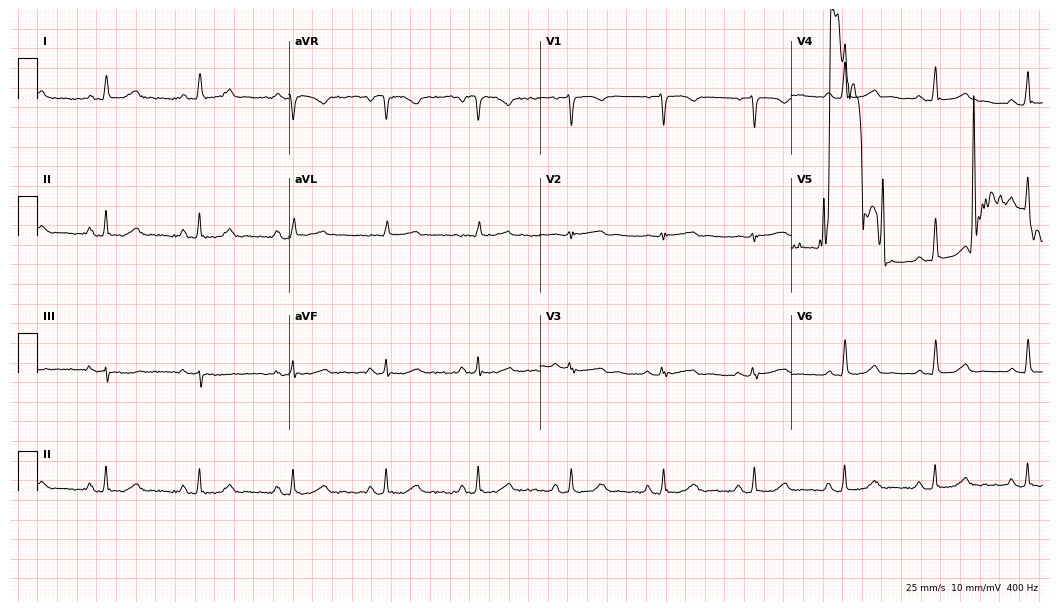
Standard 12-lead ECG recorded from a woman, 55 years old. None of these six findings is recorded: first-degree AV block, right bundle branch block, left bundle branch block, sinus bradycardia, atrial fibrillation, sinus tachycardia. Other findings, if any, are not listed.